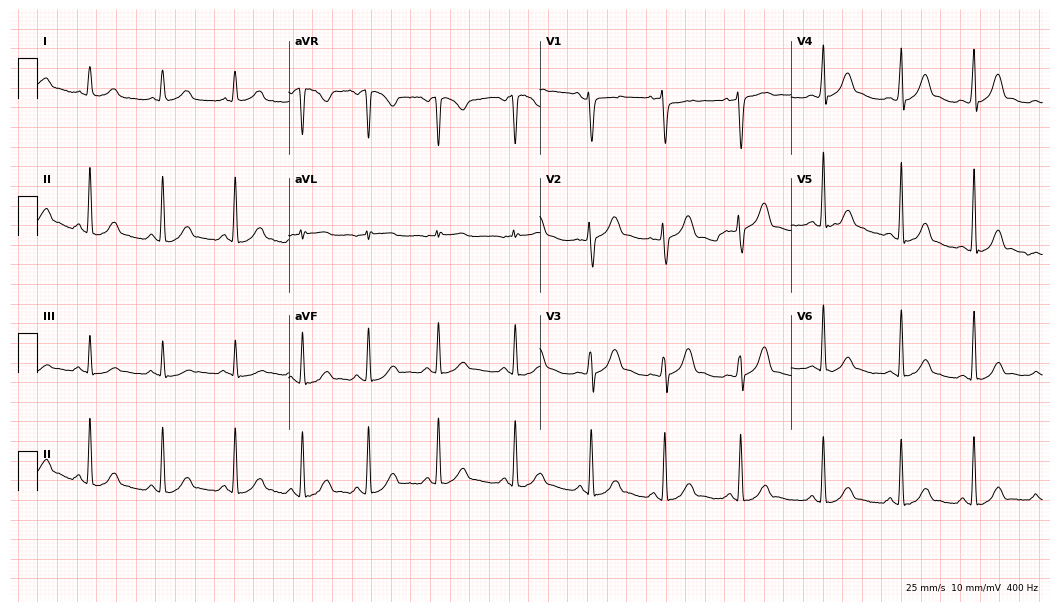
Electrocardiogram, a female patient, 39 years old. Overall reading on record: normal ECG.